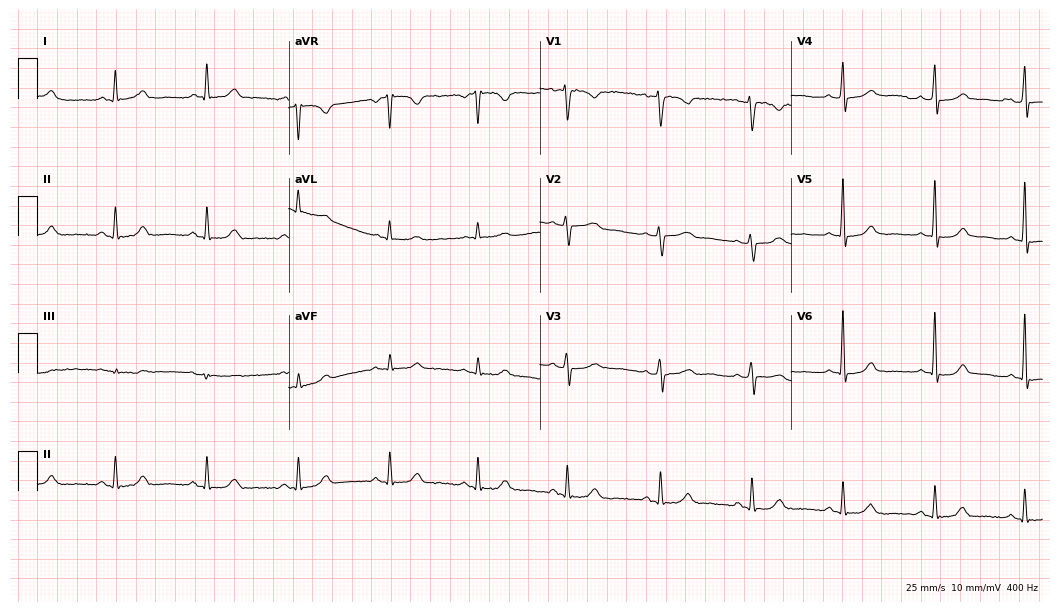
Standard 12-lead ECG recorded from a female patient, 50 years old. Read as a normal ECG.